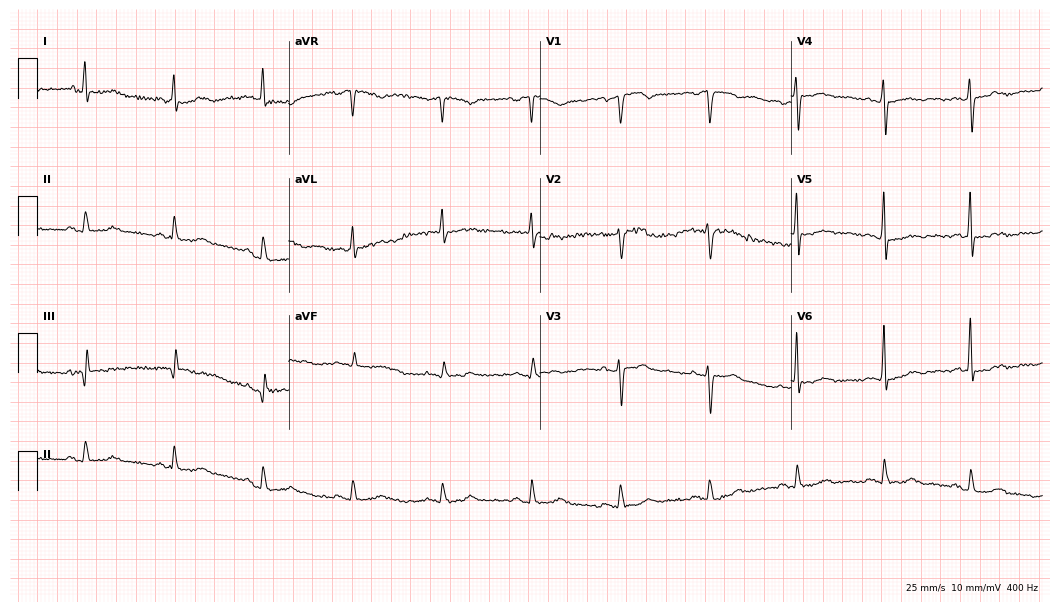
Electrocardiogram (10.2-second recording at 400 Hz), a 77-year-old man. Overall reading on record: normal ECG.